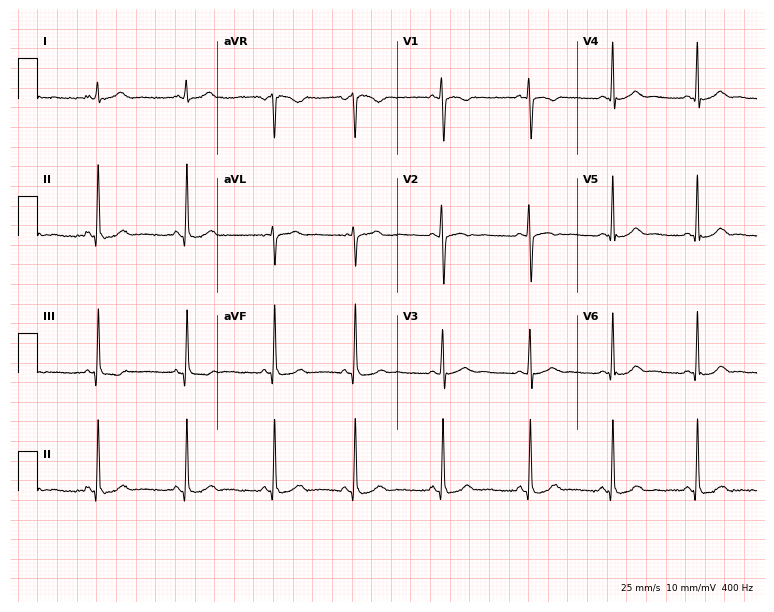
Resting 12-lead electrocardiogram. Patient: a 17-year-old woman. Read as a normal ECG.